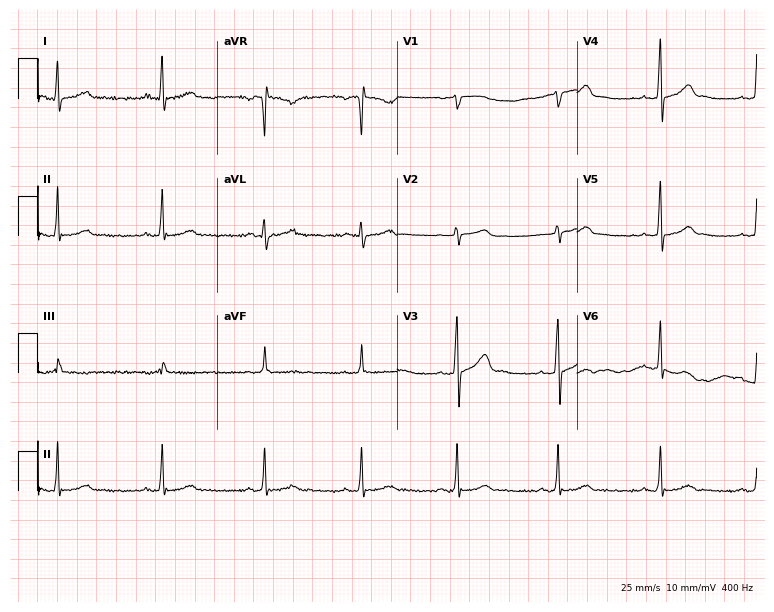
Standard 12-lead ECG recorded from a male, 25 years old. Read as a normal ECG.